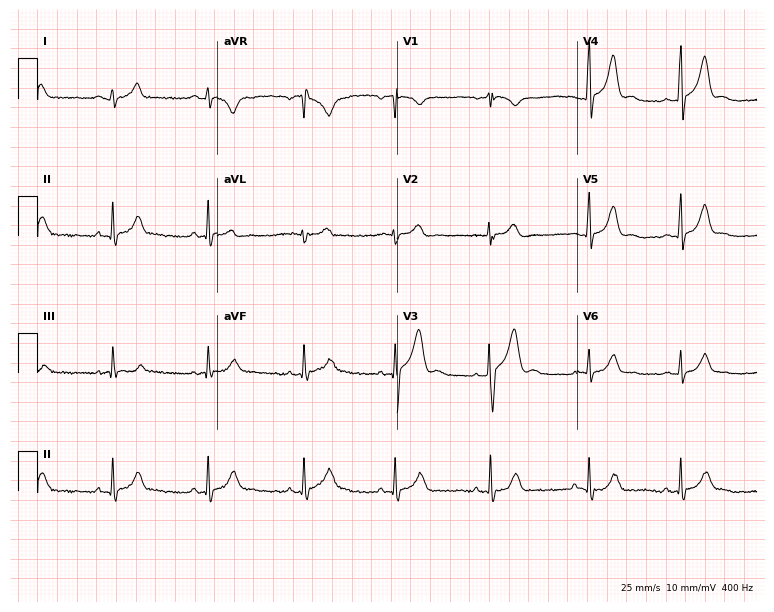
12-lead ECG from a male patient, 18 years old (7.3-second recording at 400 Hz). Recorded interpretation: within normal limits.